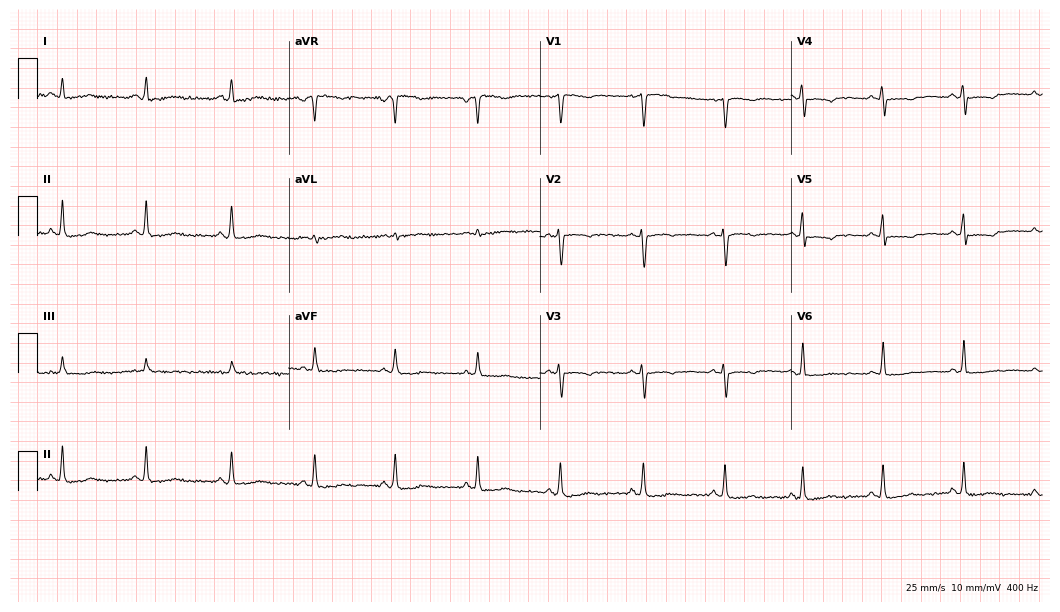
12-lead ECG from a female patient, 38 years old. Screened for six findings — first-degree AV block, right bundle branch block, left bundle branch block, sinus bradycardia, atrial fibrillation, sinus tachycardia — none is recorded. Only these six findings were labelled.